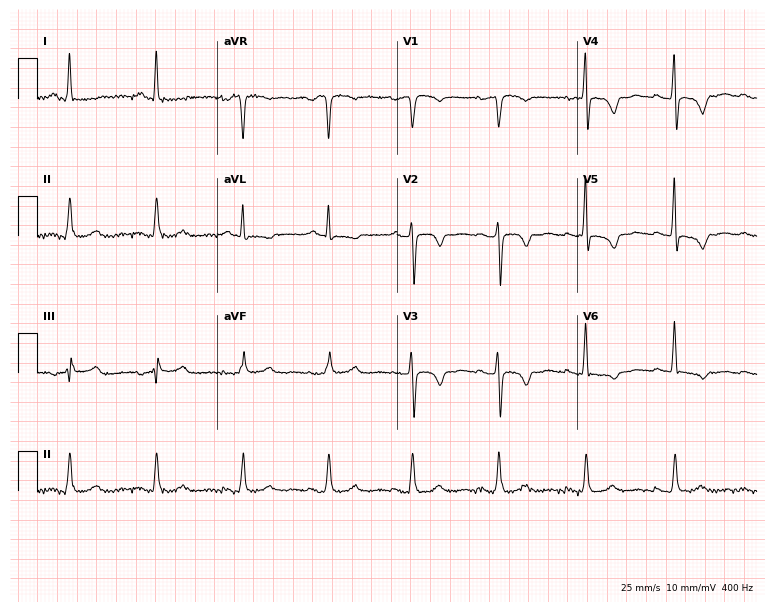
12-lead ECG from a female, 59 years old (7.3-second recording at 400 Hz). No first-degree AV block, right bundle branch block, left bundle branch block, sinus bradycardia, atrial fibrillation or sinus tachycardia recorded for this tracing.